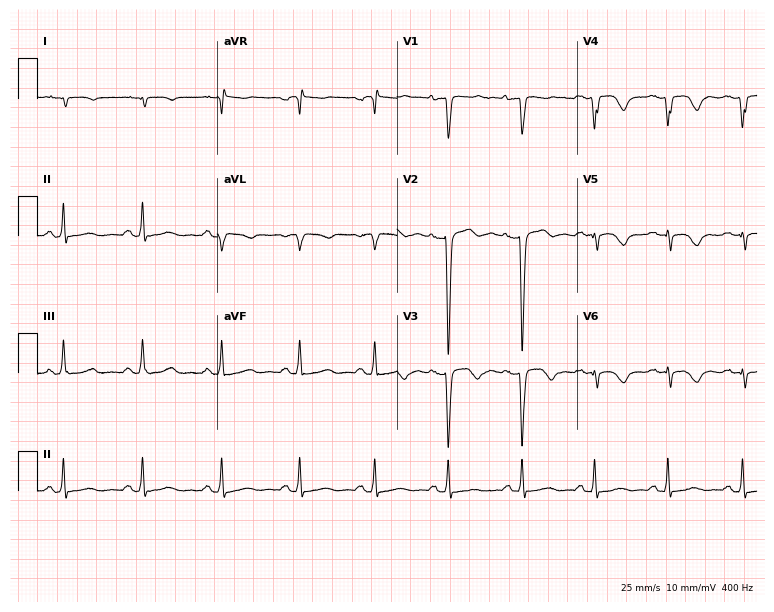
ECG — a 35-year-old man. Screened for six findings — first-degree AV block, right bundle branch block, left bundle branch block, sinus bradycardia, atrial fibrillation, sinus tachycardia — none is recorded.